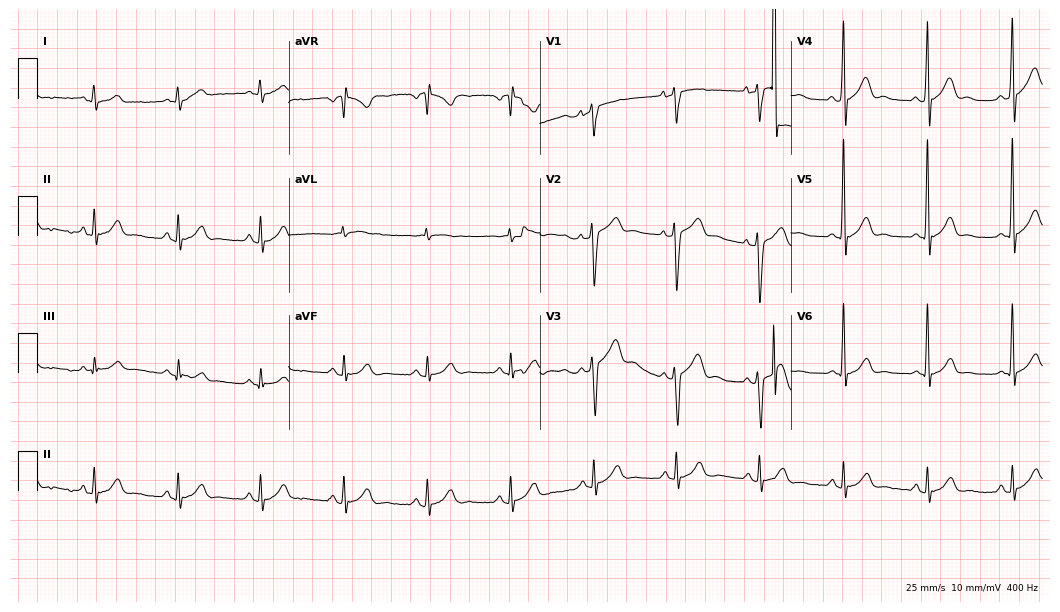
12-lead ECG from a male, 30 years old. Screened for six findings — first-degree AV block, right bundle branch block (RBBB), left bundle branch block (LBBB), sinus bradycardia, atrial fibrillation (AF), sinus tachycardia — none is recorded. Other findings, if any, are not listed.